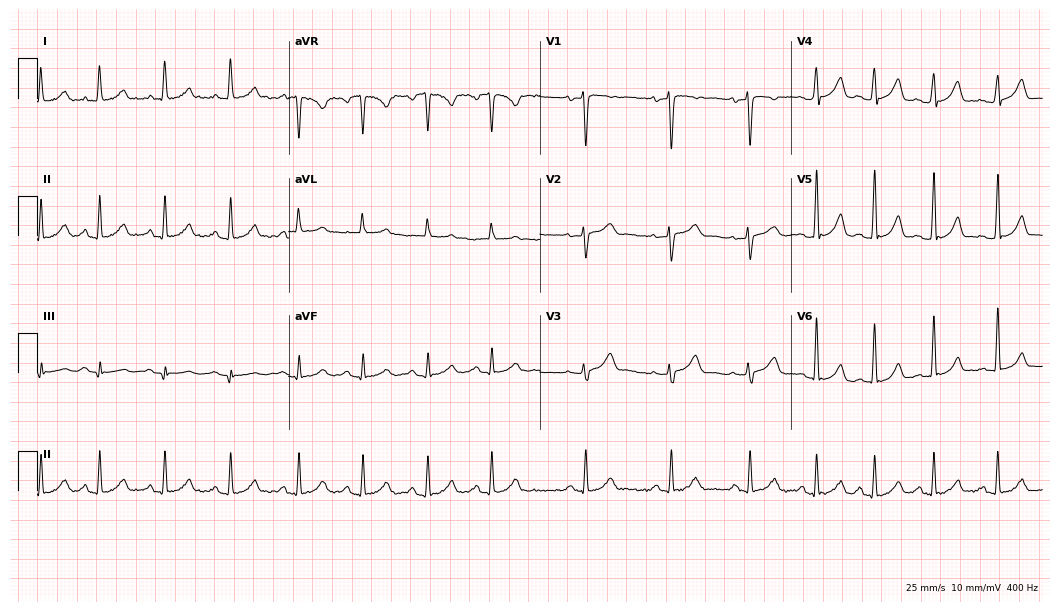
ECG — a 27-year-old female. Screened for six findings — first-degree AV block, right bundle branch block (RBBB), left bundle branch block (LBBB), sinus bradycardia, atrial fibrillation (AF), sinus tachycardia — none is recorded.